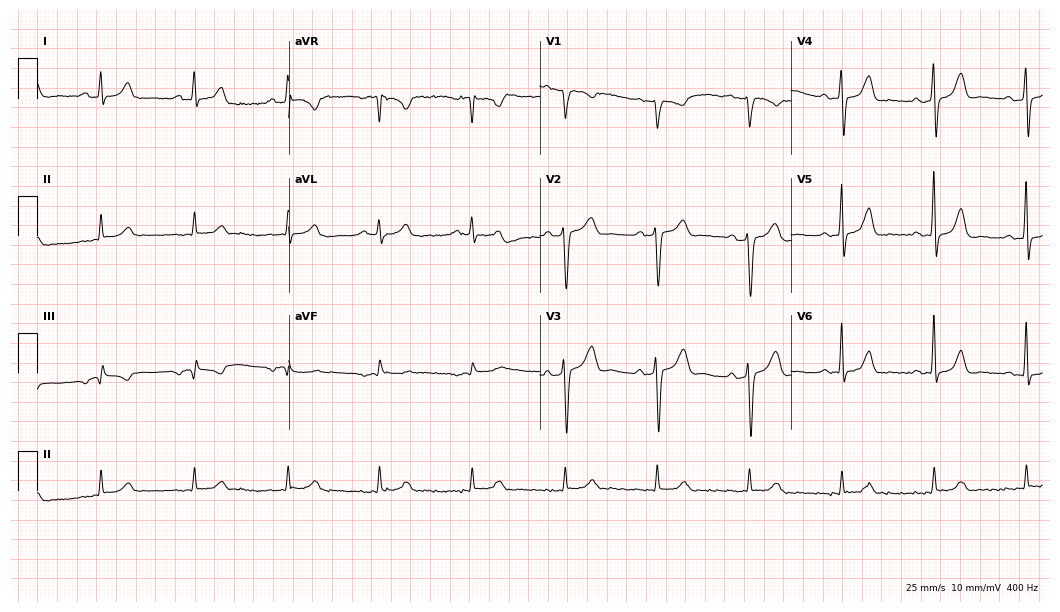
Standard 12-lead ECG recorded from a male patient, 67 years old (10.2-second recording at 400 Hz). Read as a normal ECG.